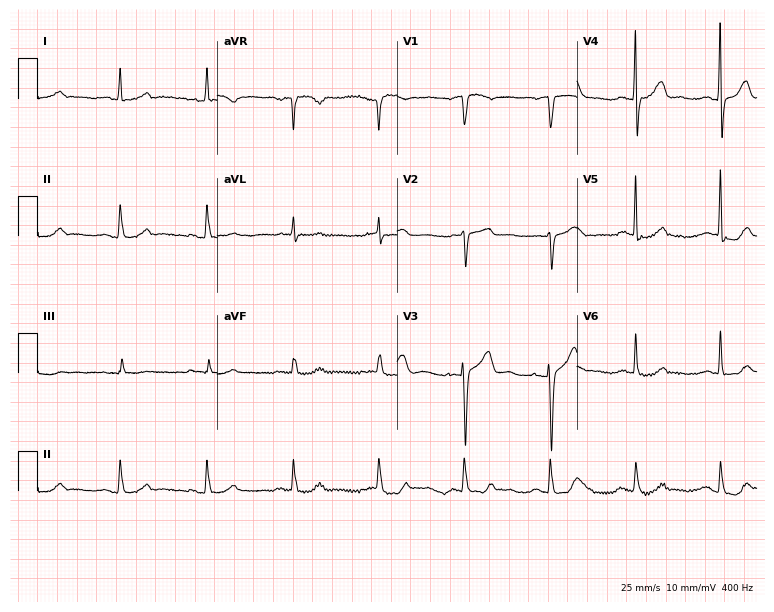
ECG — a man, 79 years old. Labelled as a normal ECG.